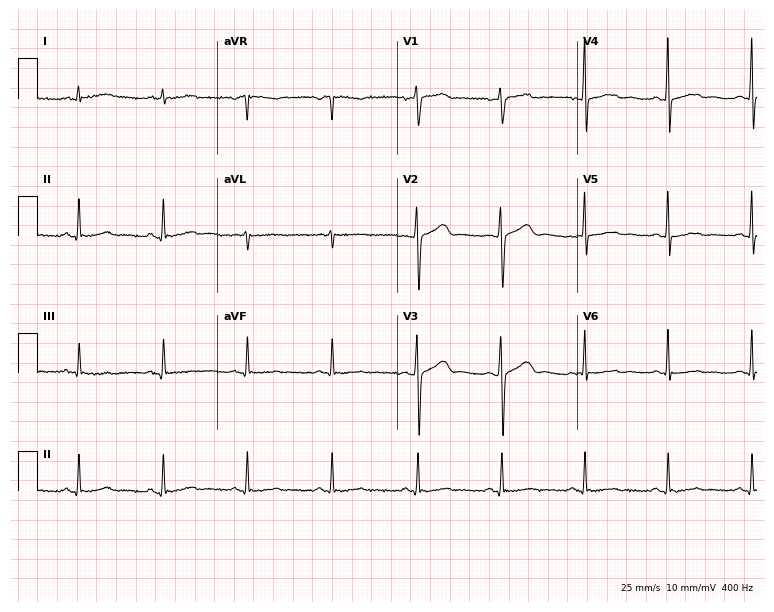
Resting 12-lead electrocardiogram. Patient: a man, 58 years old. None of these six findings is recorded: first-degree AV block, right bundle branch block (RBBB), left bundle branch block (LBBB), sinus bradycardia, atrial fibrillation (AF), sinus tachycardia.